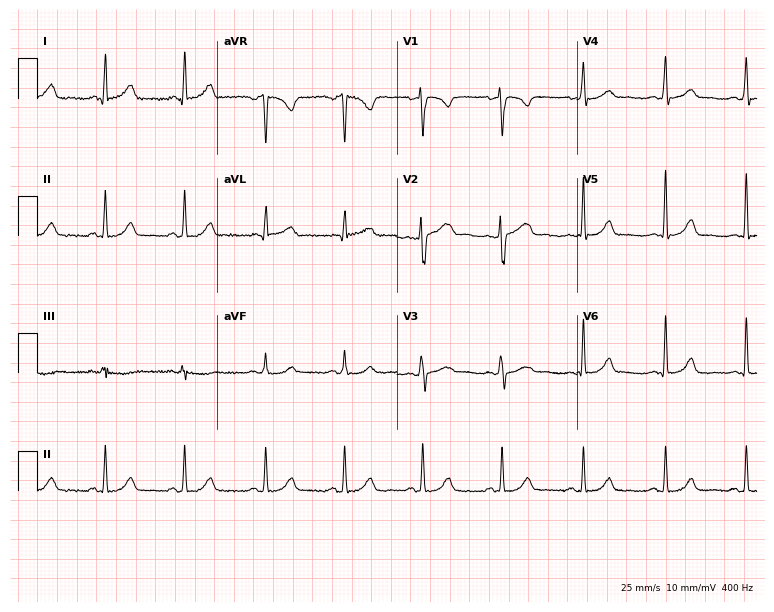
Electrocardiogram (7.3-second recording at 400 Hz), a 30-year-old woman. Of the six screened findings (first-degree AV block, right bundle branch block (RBBB), left bundle branch block (LBBB), sinus bradycardia, atrial fibrillation (AF), sinus tachycardia), none is recorded.